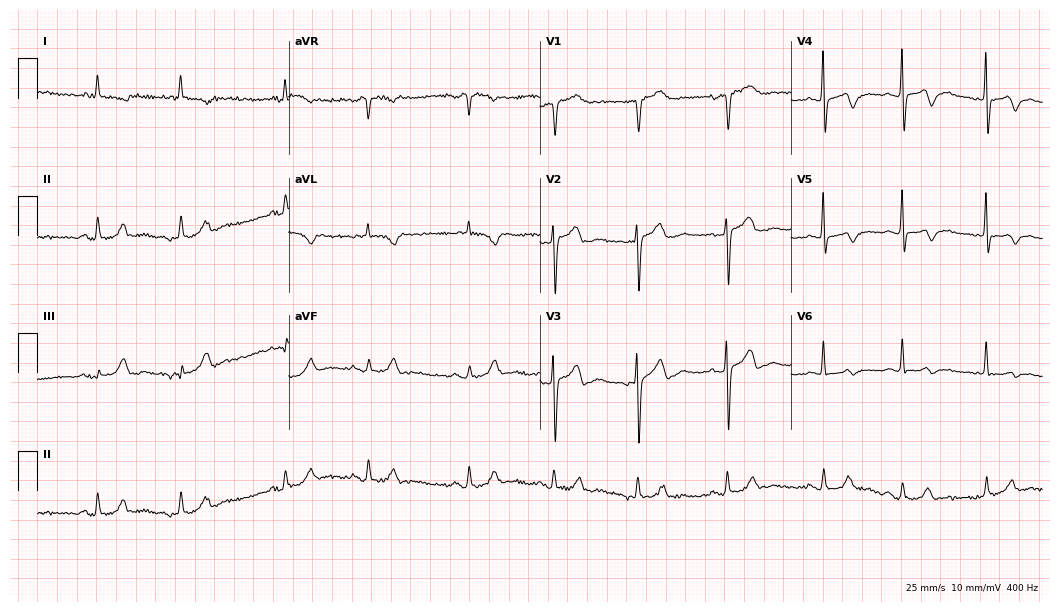
ECG — a 77-year-old female patient. Screened for six findings — first-degree AV block, right bundle branch block, left bundle branch block, sinus bradycardia, atrial fibrillation, sinus tachycardia — none is recorded.